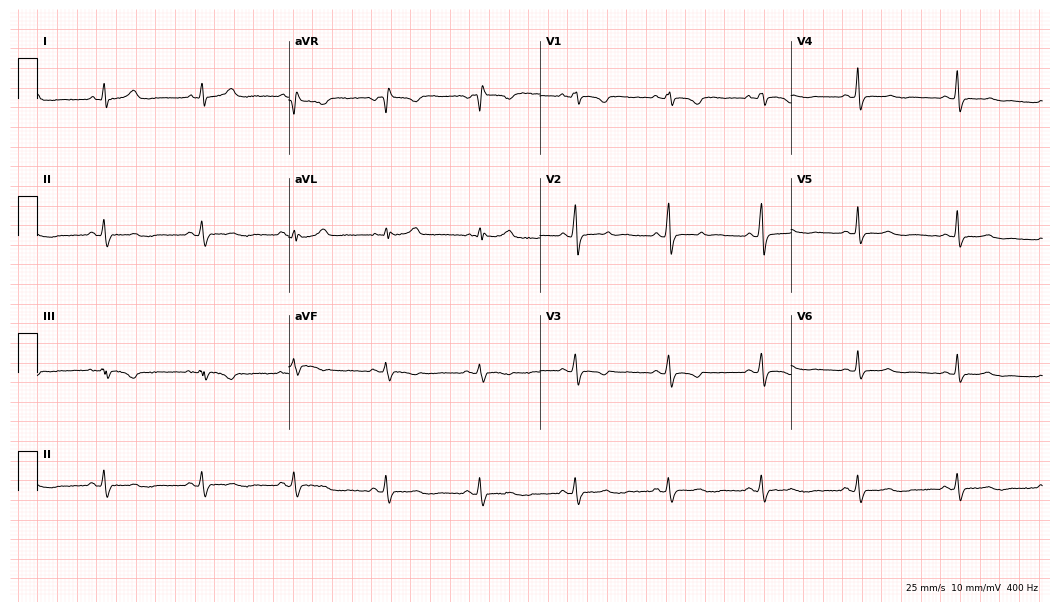
Standard 12-lead ECG recorded from a woman, 50 years old (10.2-second recording at 400 Hz). None of these six findings is recorded: first-degree AV block, right bundle branch block, left bundle branch block, sinus bradycardia, atrial fibrillation, sinus tachycardia.